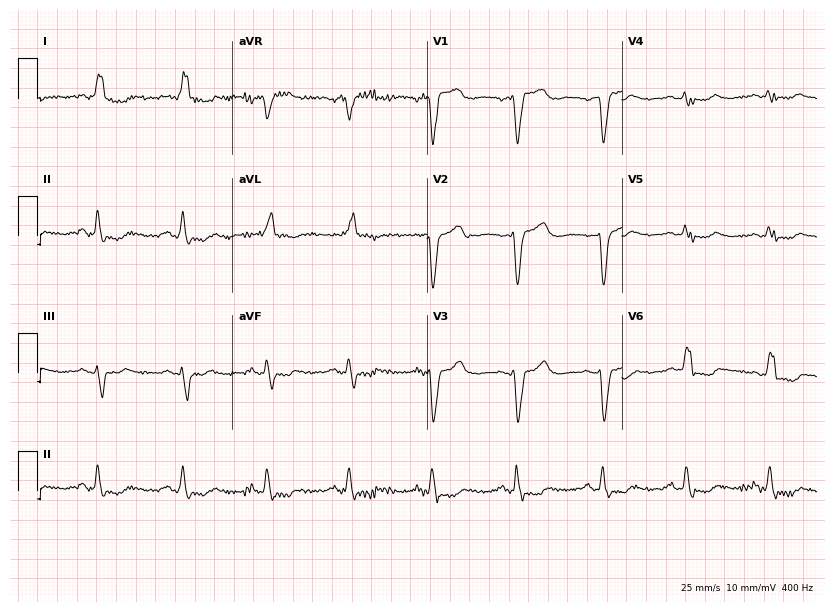
ECG (7.9-second recording at 400 Hz) — an 83-year-old female. Screened for six findings — first-degree AV block, right bundle branch block (RBBB), left bundle branch block (LBBB), sinus bradycardia, atrial fibrillation (AF), sinus tachycardia — none is recorded.